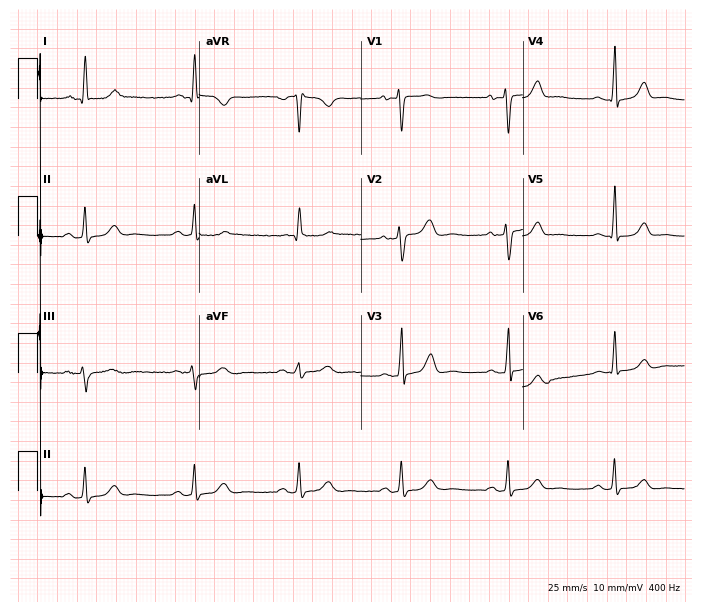
Resting 12-lead electrocardiogram. Patient: a female, 62 years old. None of these six findings is recorded: first-degree AV block, right bundle branch block, left bundle branch block, sinus bradycardia, atrial fibrillation, sinus tachycardia. Only these six findings were labelled.